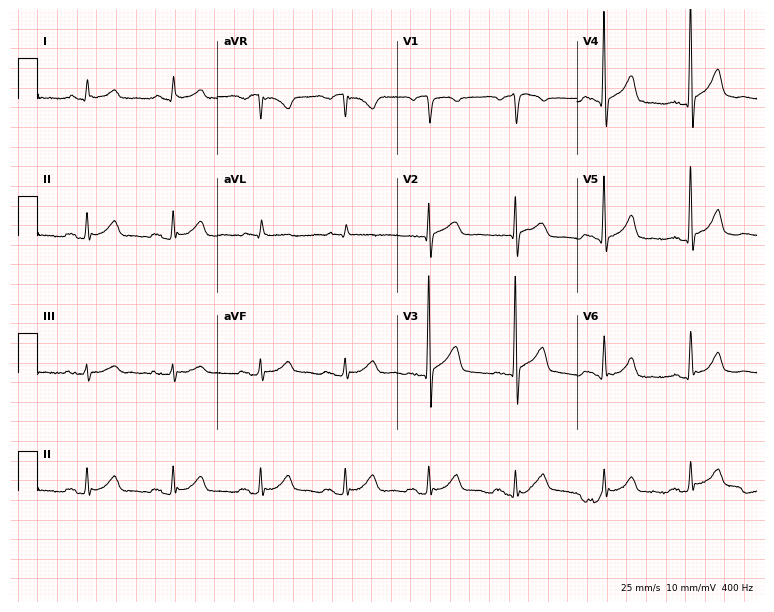
Electrocardiogram, a 58-year-old female patient. Of the six screened findings (first-degree AV block, right bundle branch block (RBBB), left bundle branch block (LBBB), sinus bradycardia, atrial fibrillation (AF), sinus tachycardia), none is recorded.